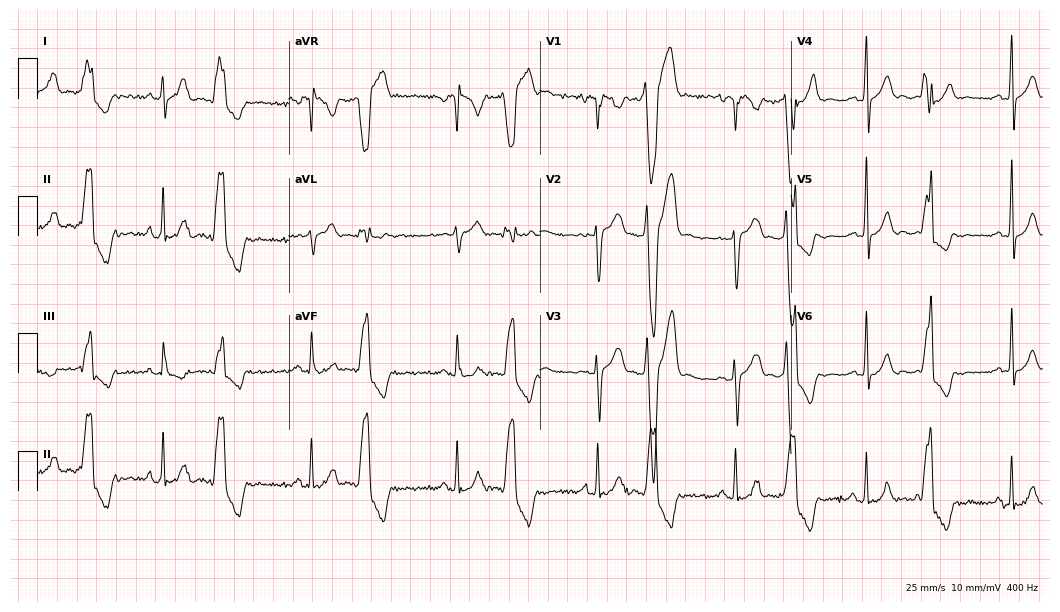
12-lead ECG from a male, 30 years old. No first-degree AV block, right bundle branch block, left bundle branch block, sinus bradycardia, atrial fibrillation or sinus tachycardia recorded for this tracing.